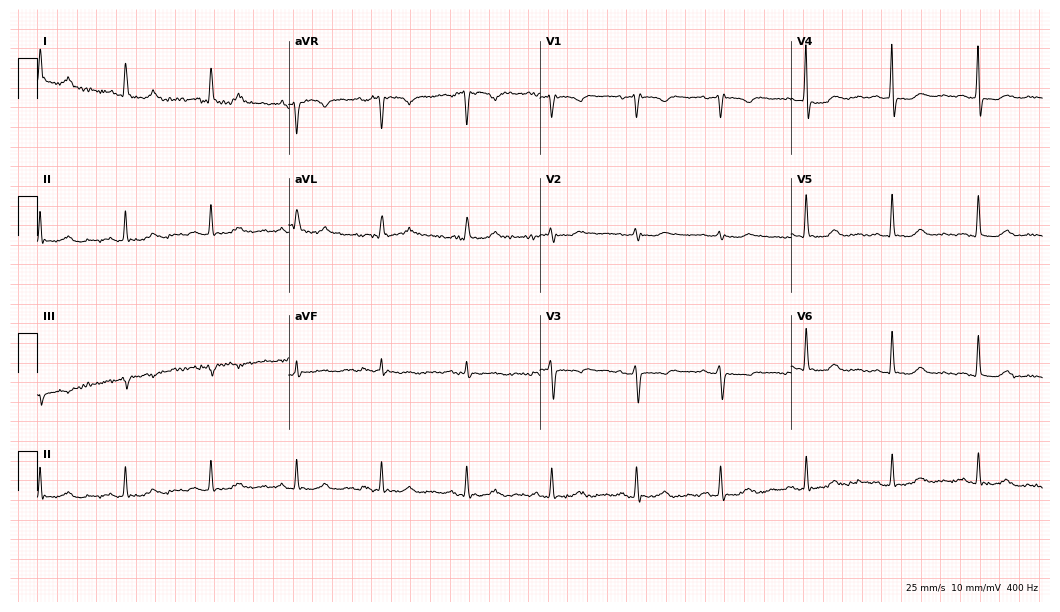
Resting 12-lead electrocardiogram. Patient: a 77-year-old female. Read as a normal ECG.